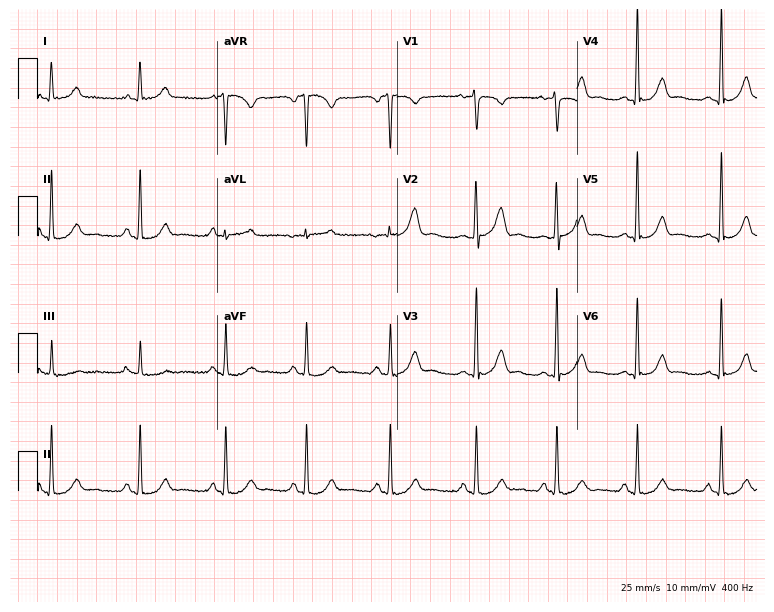
Standard 12-lead ECG recorded from a woman, 25 years old (7.3-second recording at 400 Hz). Read as a normal ECG.